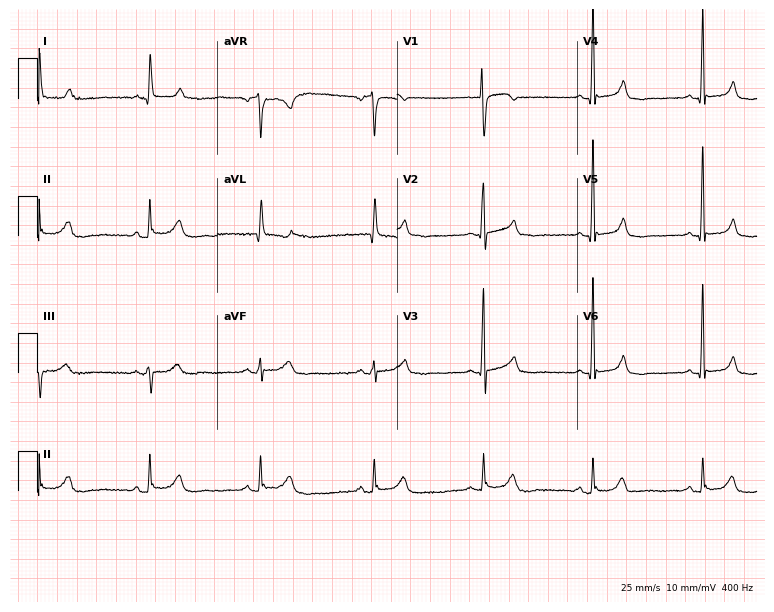
Electrocardiogram, a 74-year-old female. Of the six screened findings (first-degree AV block, right bundle branch block, left bundle branch block, sinus bradycardia, atrial fibrillation, sinus tachycardia), none is recorded.